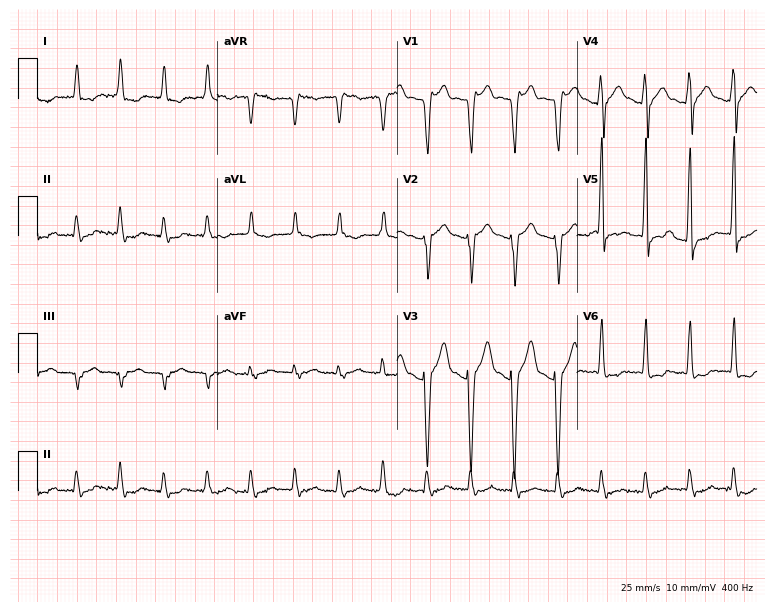
Electrocardiogram (7.3-second recording at 400 Hz), a male, 78 years old. Interpretation includes atrial fibrillation (AF).